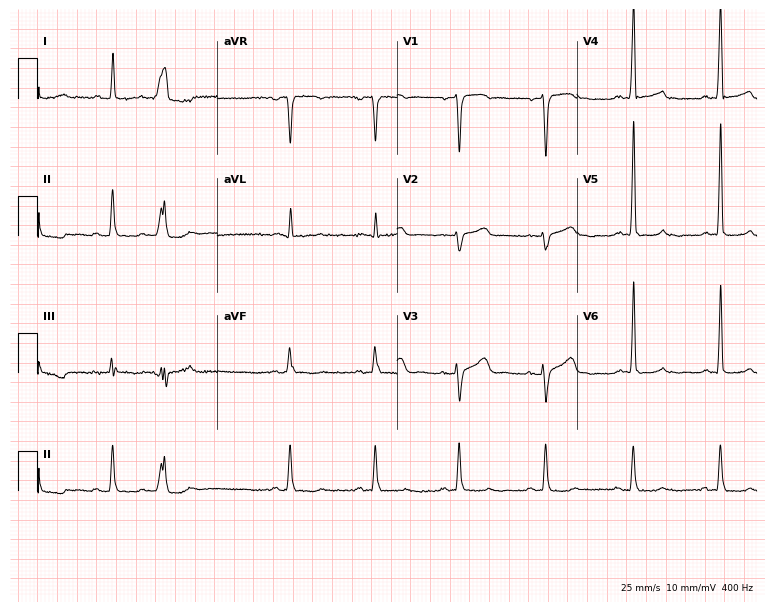
Standard 12-lead ECG recorded from a 75-year-old woman. None of these six findings is recorded: first-degree AV block, right bundle branch block (RBBB), left bundle branch block (LBBB), sinus bradycardia, atrial fibrillation (AF), sinus tachycardia.